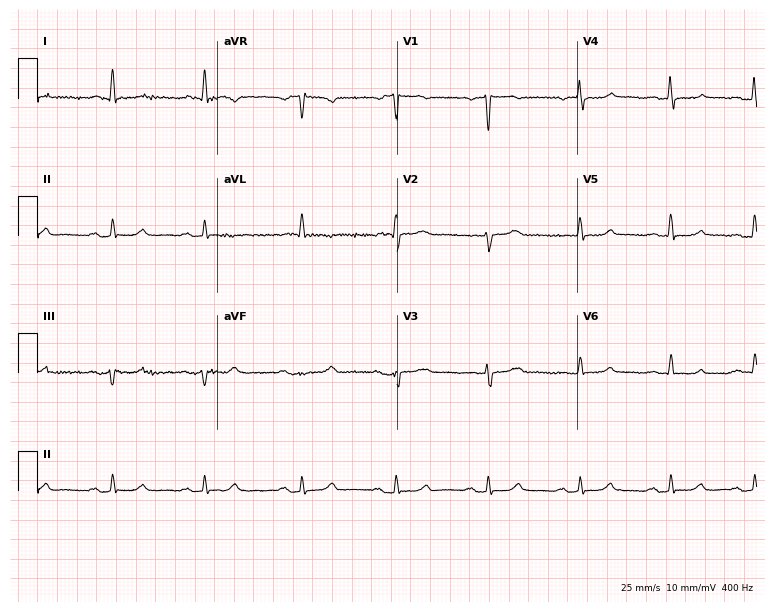
12-lead ECG (7.3-second recording at 400 Hz) from a female patient, 58 years old. Screened for six findings — first-degree AV block, right bundle branch block, left bundle branch block, sinus bradycardia, atrial fibrillation, sinus tachycardia — none is recorded.